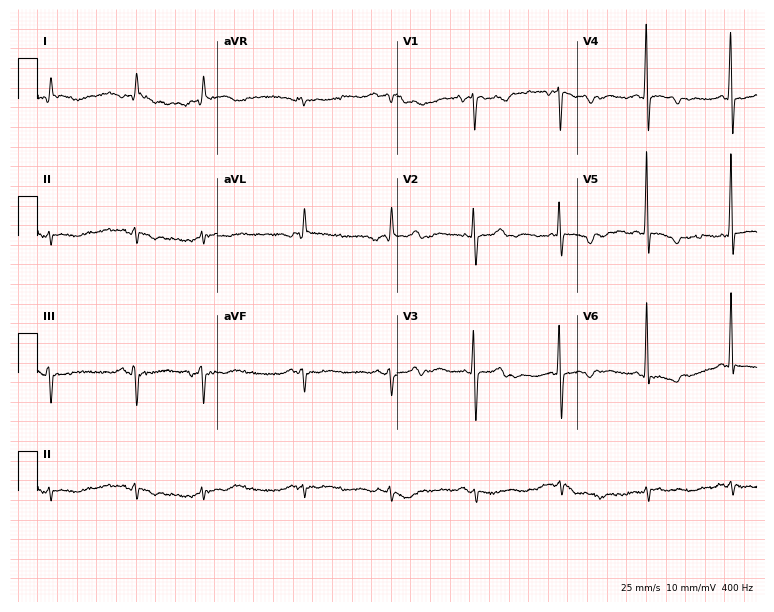
Electrocardiogram, a 77-year-old female patient. Of the six screened findings (first-degree AV block, right bundle branch block, left bundle branch block, sinus bradycardia, atrial fibrillation, sinus tachycardia), none is recorded. Findings outside these six are not listed.